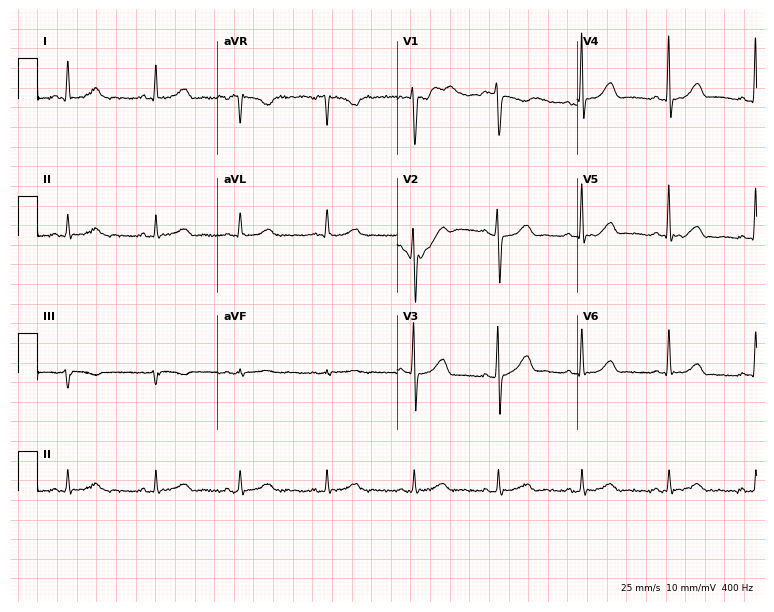
12-lead ECG from a female, 37 years old. Recorded interpretation: within normal limits.